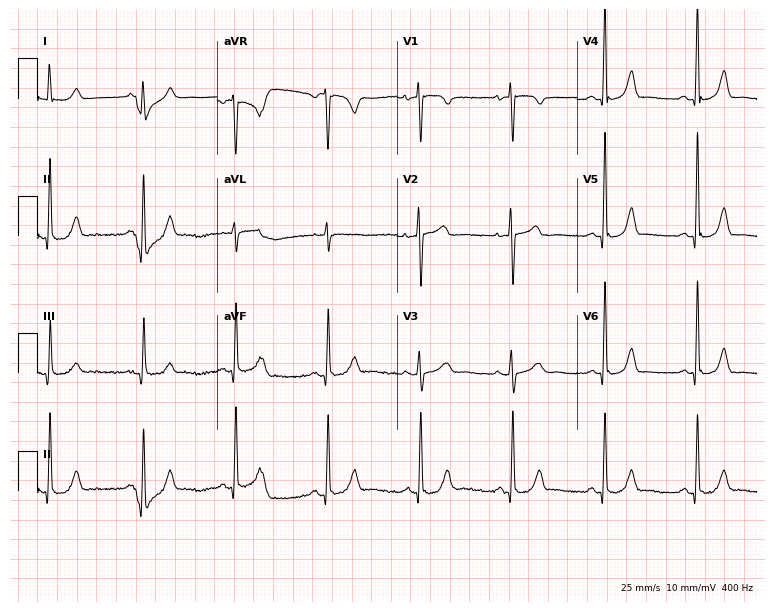
ECG — a female, 63 years old. Labelled as a normal ECG.